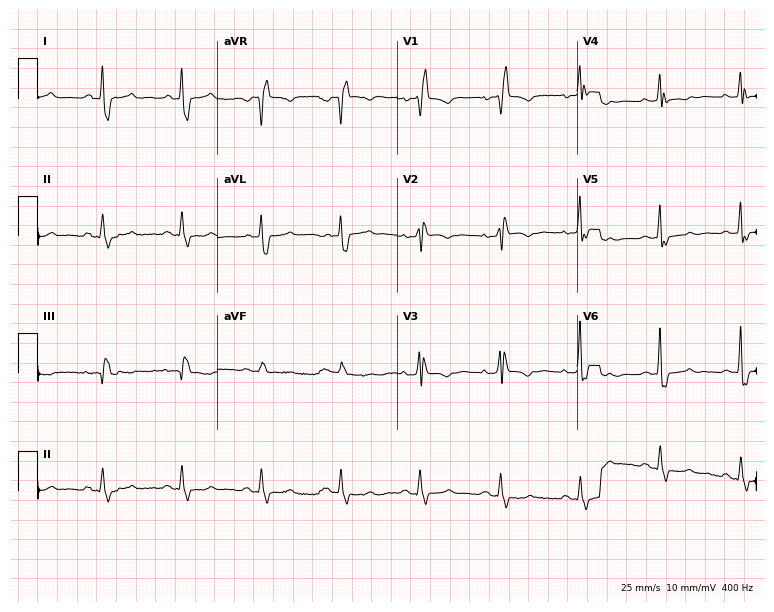
12-lead ECG from a woman, 59 years old. Findings include right bundle branch block.